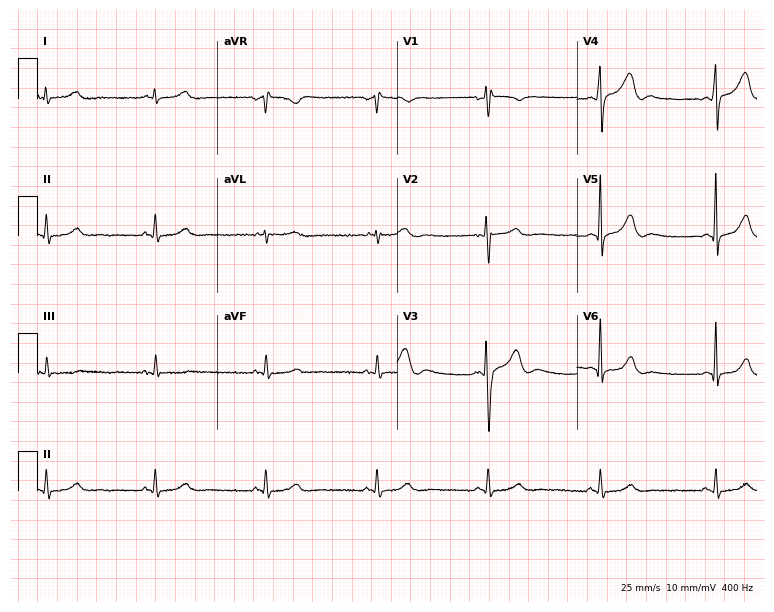
Electrocardiogram, a male, 41 years old. Of the six screened findings (first-degree AV block, right bundle branch block, left bundle branch block, sinus bradycardia, atrial fibrillation, sinus tachycardia), none is recorded.